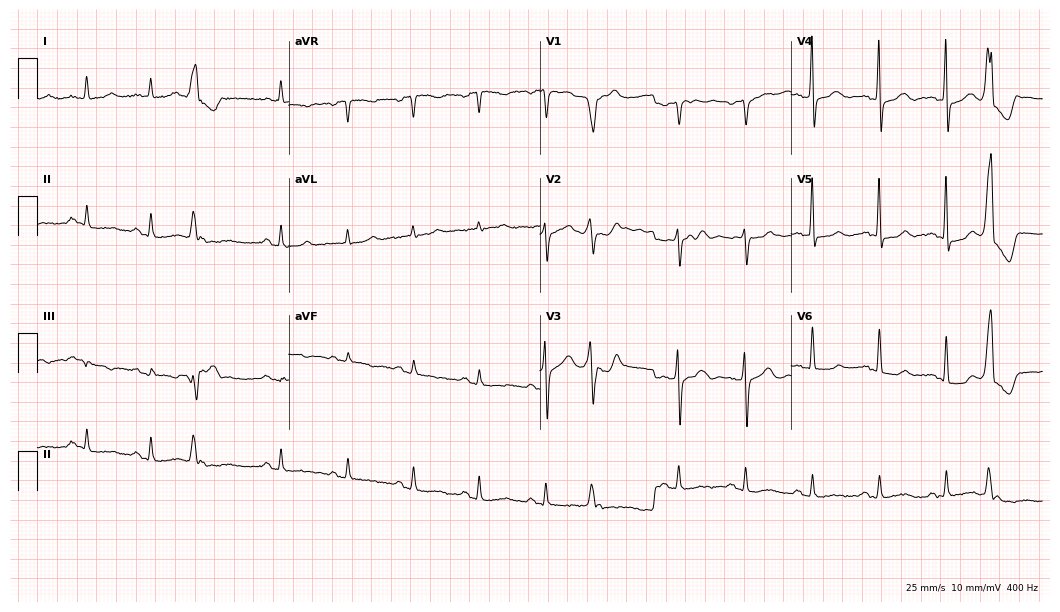
ECG (10.2-second recording at 400 Hz) — a male patient, 85 years old. Screened for six findings — first-degree AV block, right bundle branch block, left bundle branch block, sinus bradycardia, atrial fibrillation, sinus tachycardia — none is recorded.